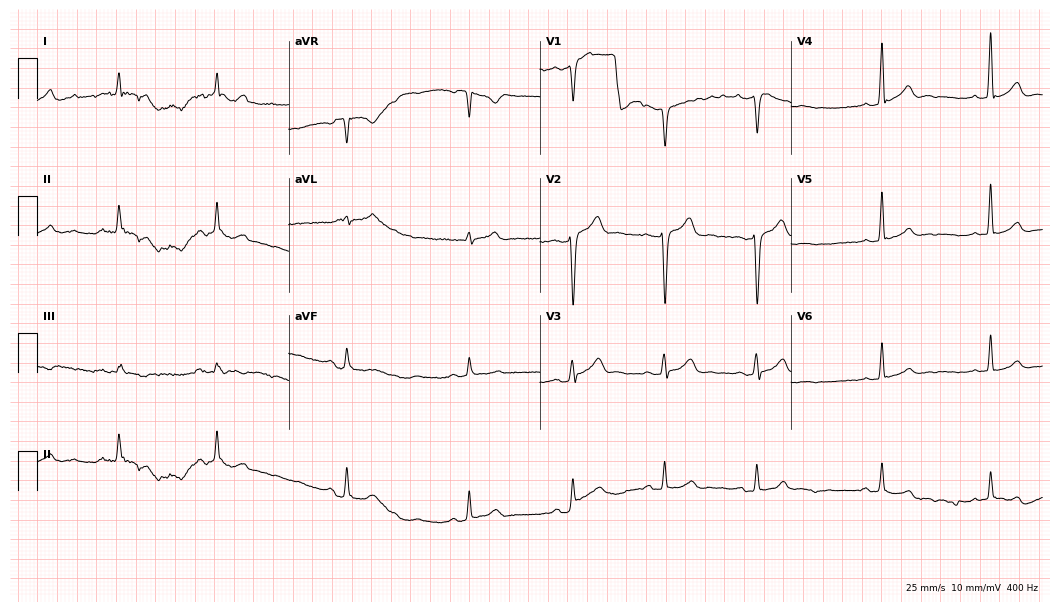
12-lead ECG from a 17-year-old woman. Recorded interpretation: within normal limits.